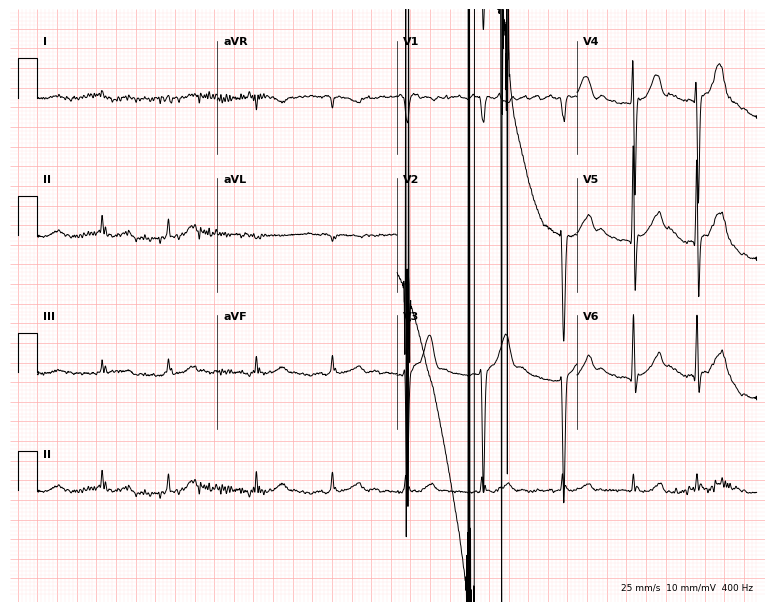
ECG (7.3-second recording at 400 Hz) — an 85-year-old woman. Screened for six findings — first-degree AV block, right bundle branch block (RBBB), left bundle branch block (LBBB), sinus bradycardia, atrial fibrillation (AF), sinus tachycardia — none is recorded. Only these six findings were labelled.